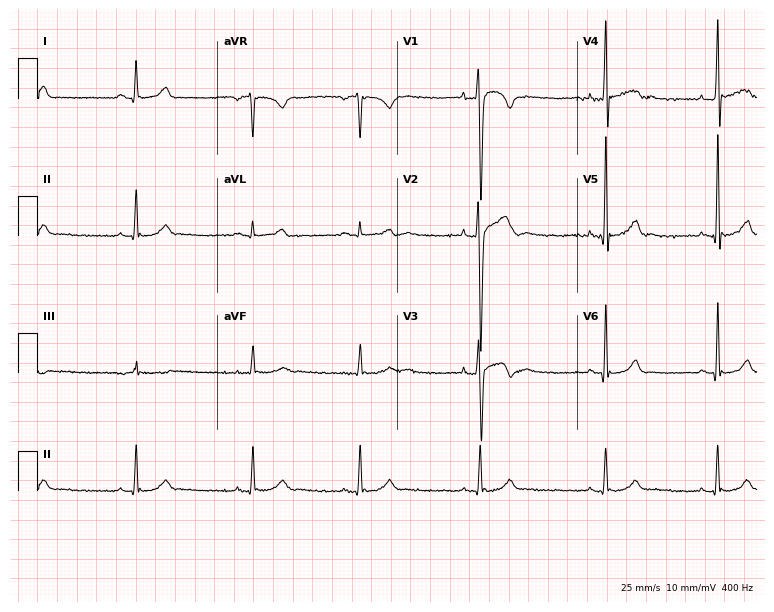
Standard 12-lead ECG recorded from a man, 18 years old (7.3-second recording at 400 Hz). None of these six findings is recorded: first-degree AV block, right bundle branch block, left bundle branch block, sinus bradycardia, atrial fibrillation, sinus tachycardia. Other findings, if any, are not listed.